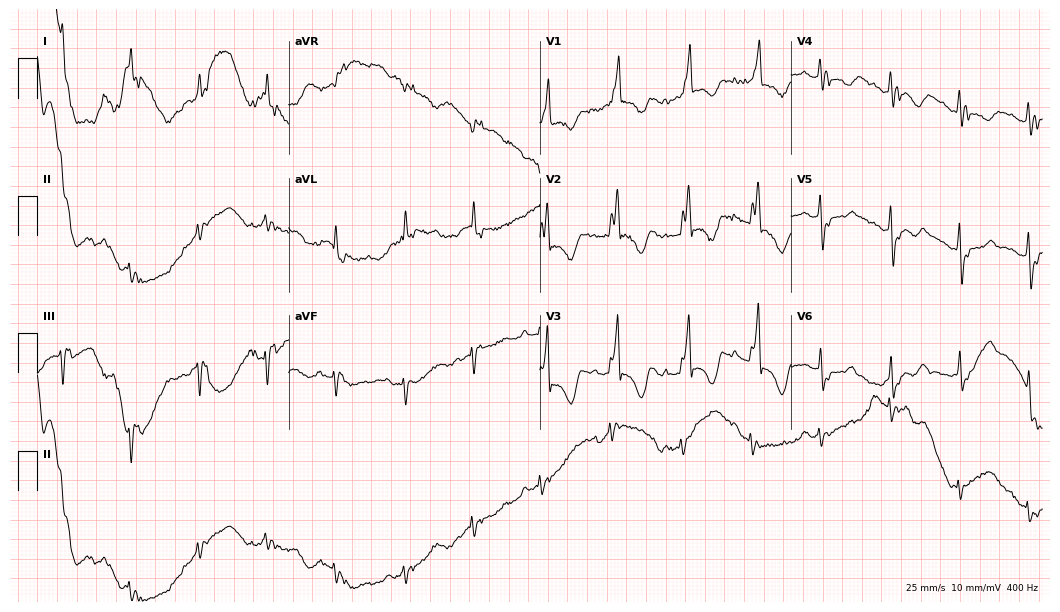
Resting 12-lead electrocardiogram. Patient: a 59-year-old woman. None of these six findings is recorded: first-degree AV block, right bundle branch block (RBBB), left bundle branch block (LBBB), sinus bradycardia, atrial fibrillation (AF), sinus tachycardia.